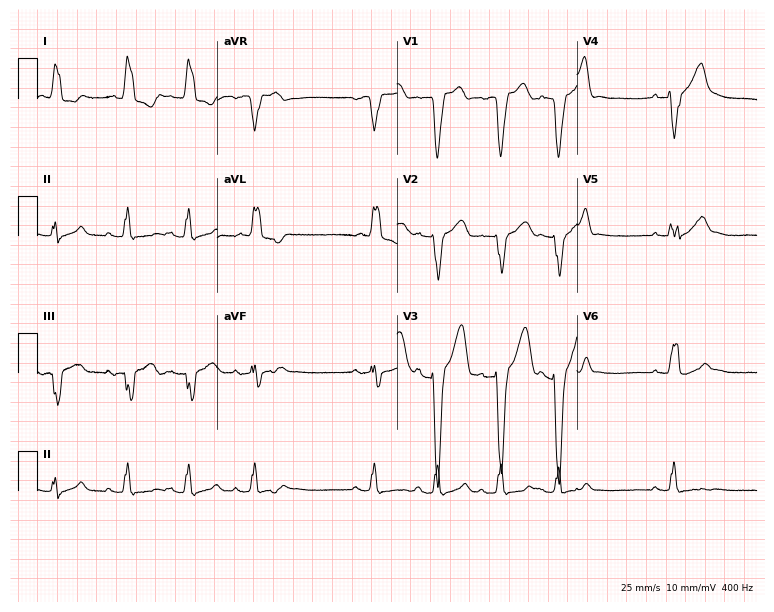
Resting 12-lead electrocardiogram. Patient: an 80-year-old man. The tracing shows first-degree AV block, left bundle branch block.